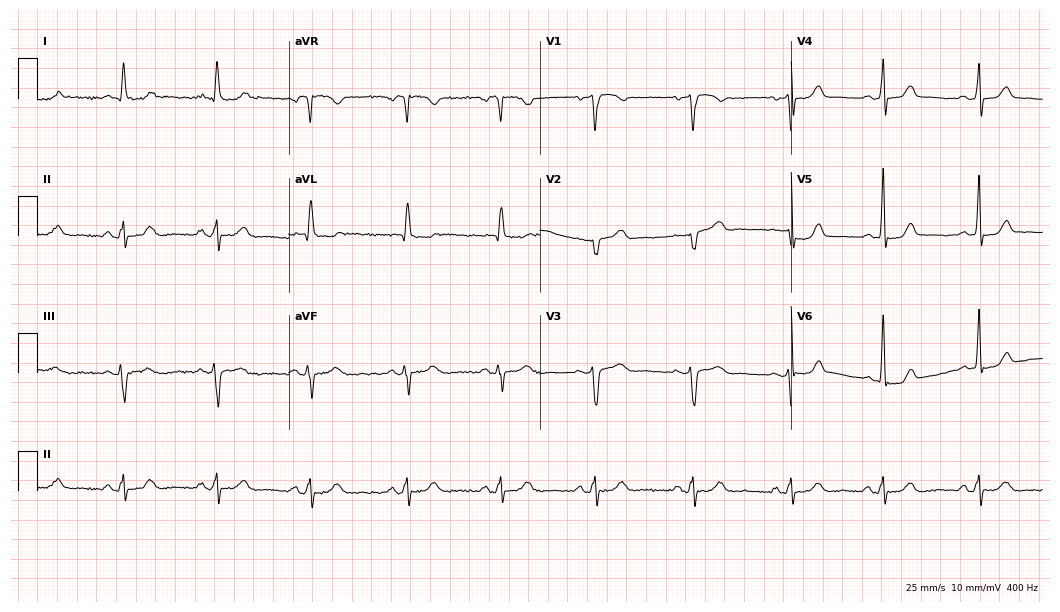
Resting 12-lead electrocardiogram (10.2-second recording at 400 Hz). Patient: a female, 57 years old. None of these six findings is recorded: first-degree AV block, right bundle branch block (RBBB), left bundle branch block (LBBB), sinus bradycardia, atrial fibrillation (AF), sinus tachycardia. Findings outside these six are not listed.